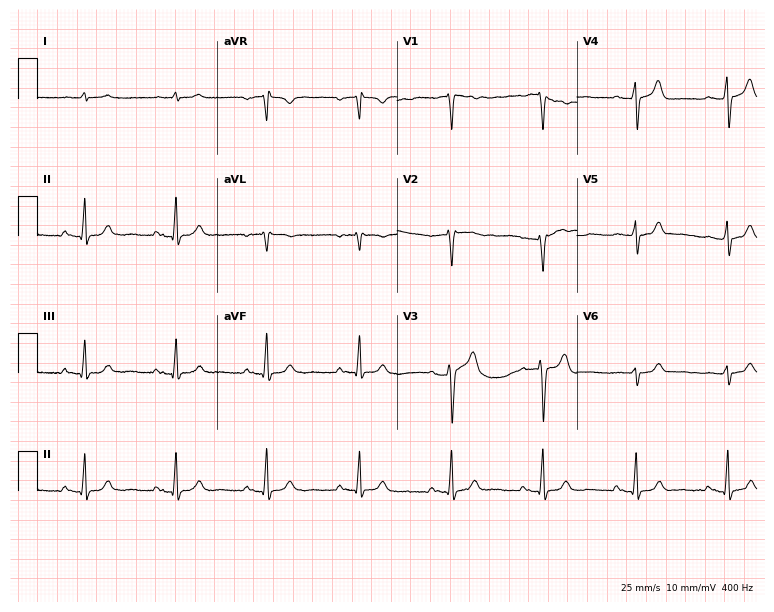
Electrocardiogram (7.3-second recording at 400 Hz), a male patient, 64 years old. Of the six screened findings (first-degree AV block, right bundle branch block, left bundle branch block, sinus bradycardia, atrial fibrillation, sinus tachycardia), none is recorded.